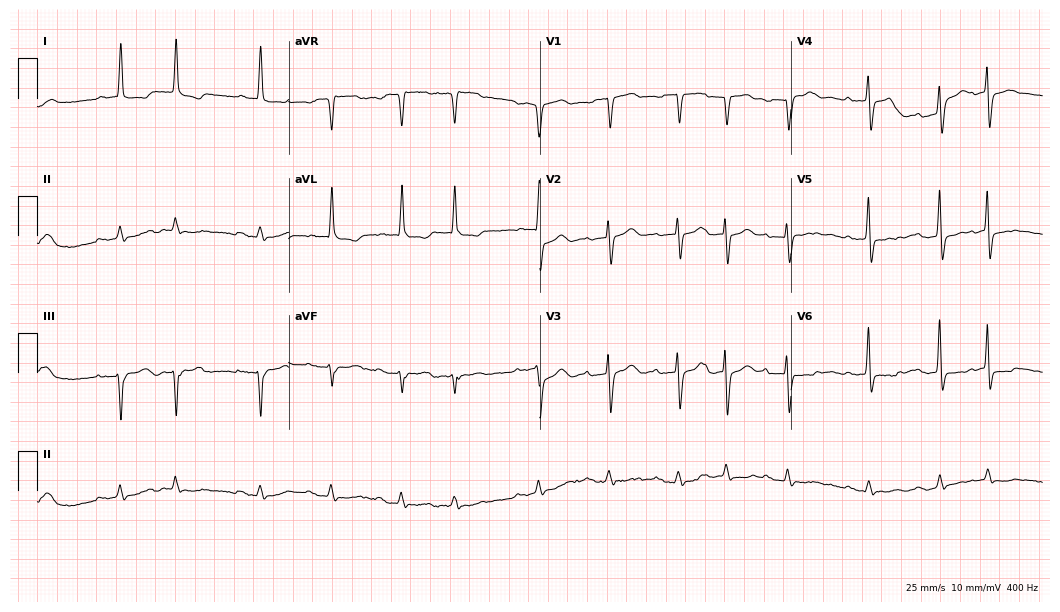
ECG — a female, 85 years old. Findings include first-degree AV block.